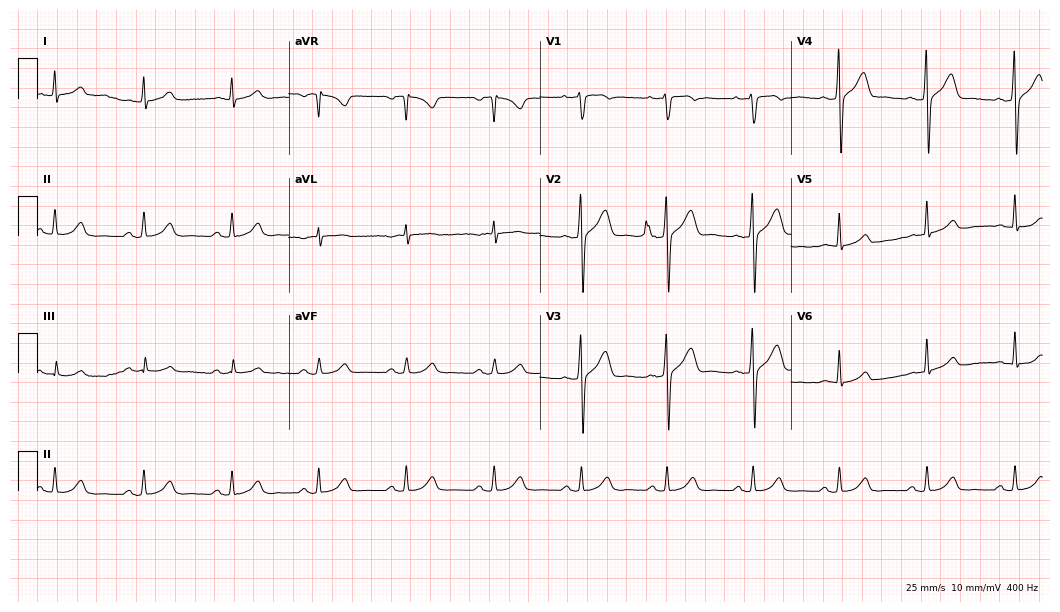
Electrocardiogram (10.2-second recording at 400 Hz), a man, 45 years old. Overall reading on record: normal ECG.